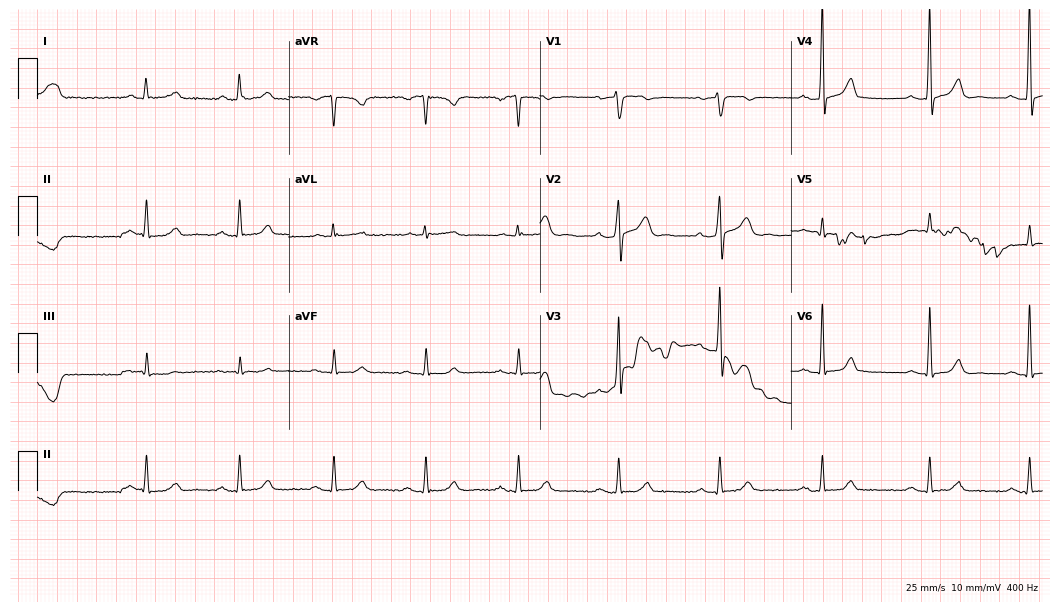
Resting 12-lead electrocardiogram (10.2-second recording at 400 Hz). Patient: a 70-year-old man. None of these six findings is recorded: first-degree AV block, right bundle branch block, left bundle branch block, sinus bradycardia, atrial fibrillation, sinus tachycardia. Only these six findings were labelled.